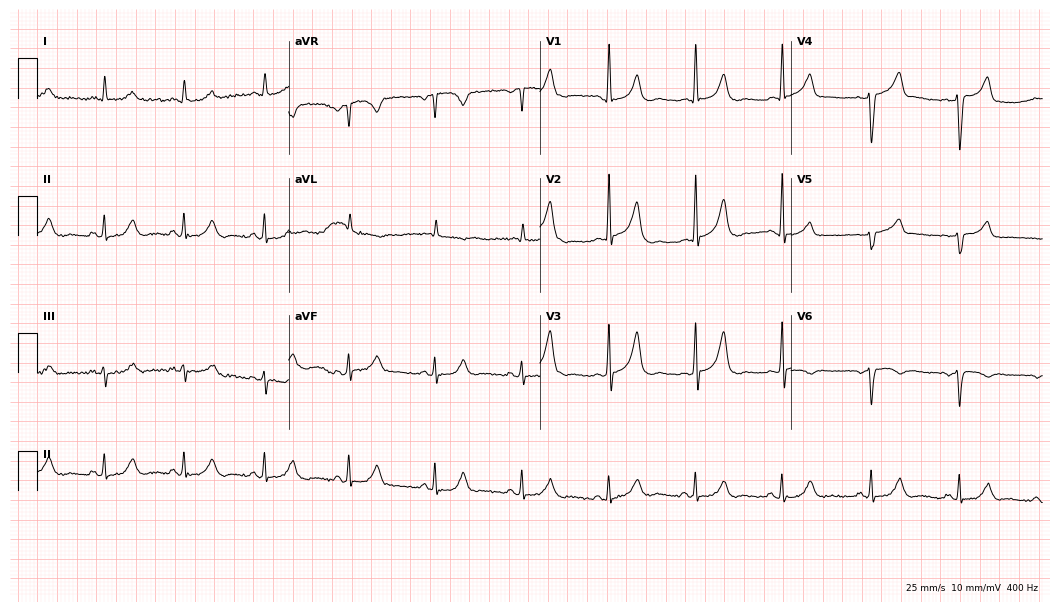
12-lead ECG from a female, 47 years old. Screened for six findings — first-degree AV block, right bundle branch block, left bundle branch block, sinus bradycardia, atrial fibrillation, sinus tachycardia — none is recorded.